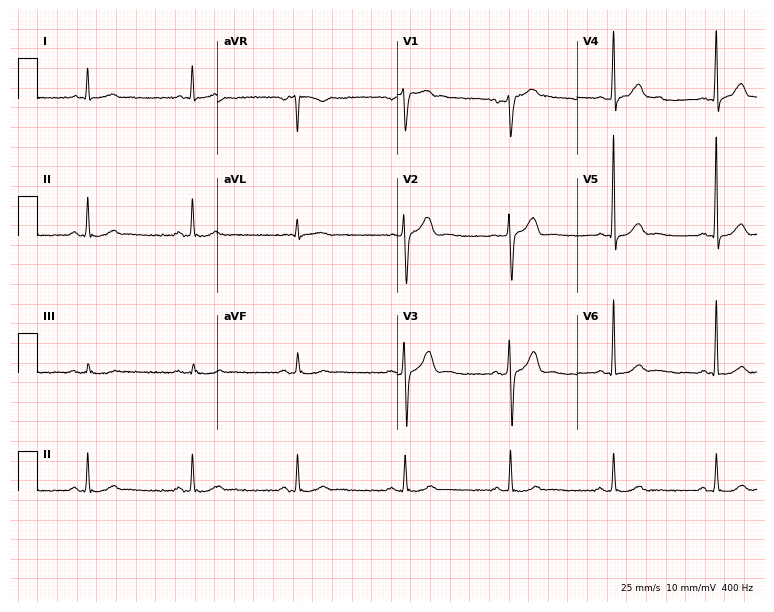
ECG (7.3-second recording at 400 Hz) — a 60-year-old male. Screened for six findings — first-degree AV block, right bundle branch block (RBBB), left bundle branch block (LBBB), sinus bradycardia, atrial fibrillation (AF), sinus tachycardia — none is recorded. Other findings, if any, are not listed.